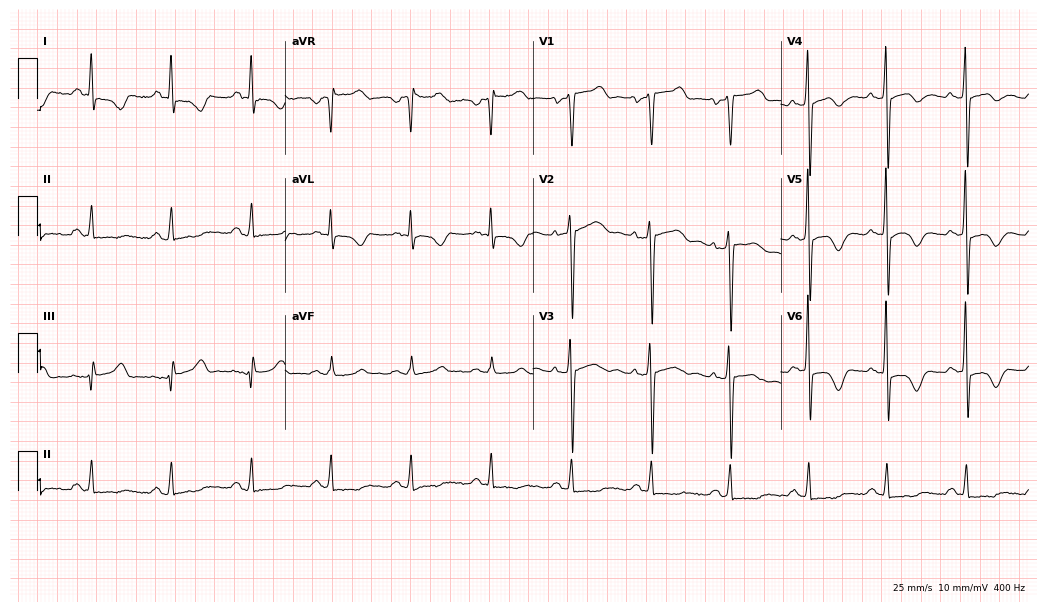
12-lead ECG from a male, 56 years old. No first-degree AV block, right bundle branch block, left bundle branch block, sinus bradycardia, atrial fibrillation or sinus tachycardia recorded for this tracing. Findings outside these six are not listed.